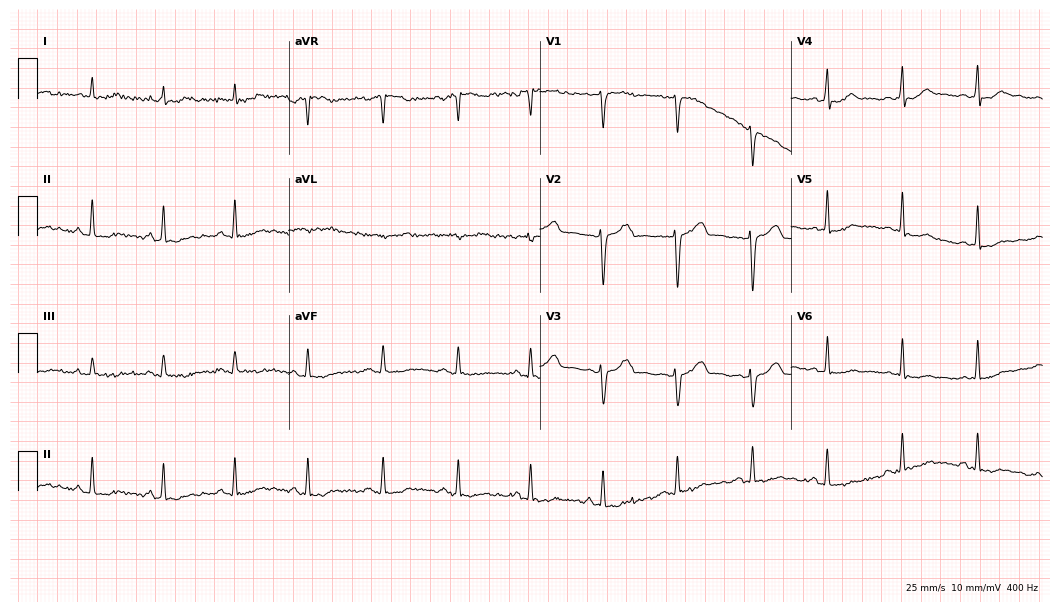
12-lead ECG from a female, 39 years old. Screened for six findings — first-degree AV block, right bundle branch block, left bundle branch block, sinus bradycardia, atrial fibrillation, sinus tachycardia — none is recorded. Other findings, if any, are not listed.